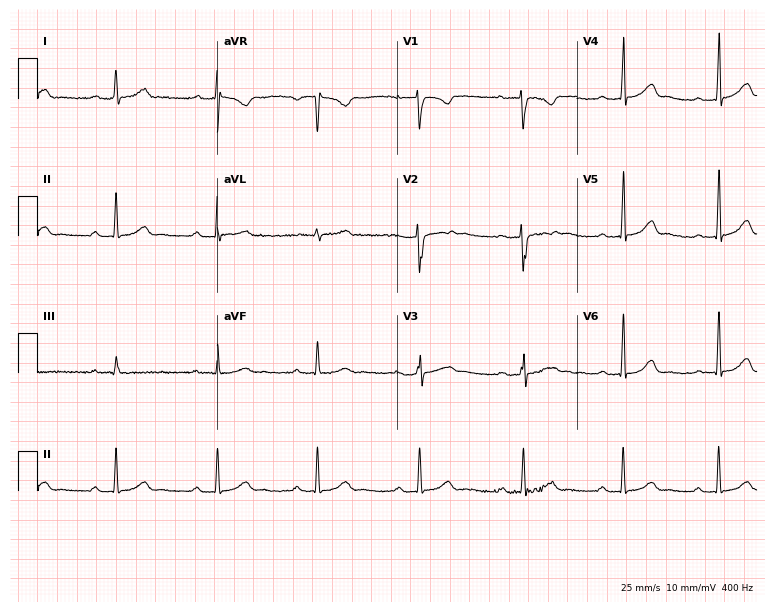
Standard 12-lead ECG recorded from a 43-year-old female patient. Read as a normal ECG.